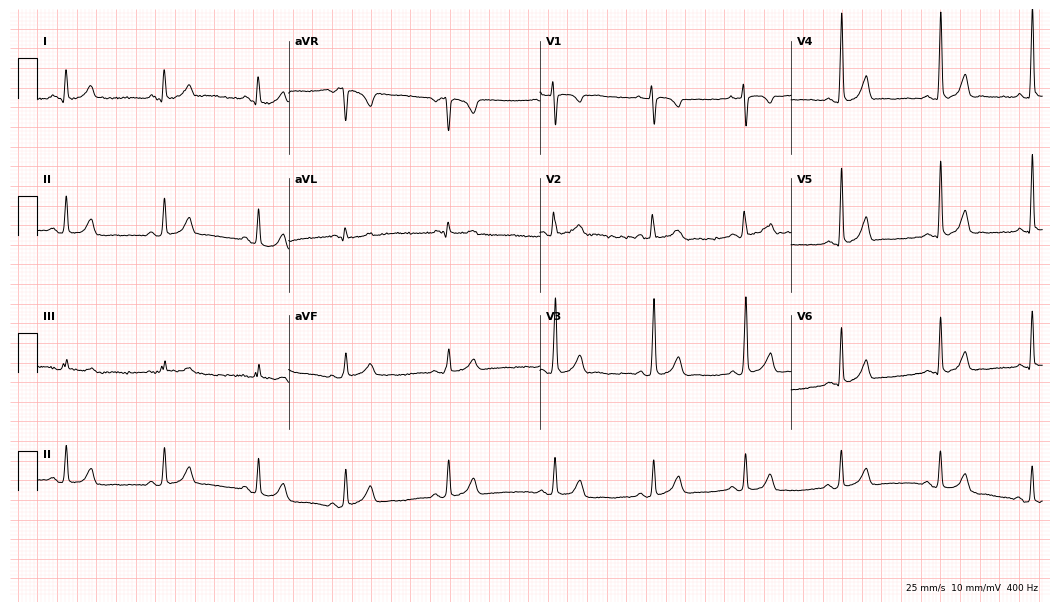
Resting 12-lead electrocardiogram. Patient: an 18-year-old female. Read as a normal ECG.